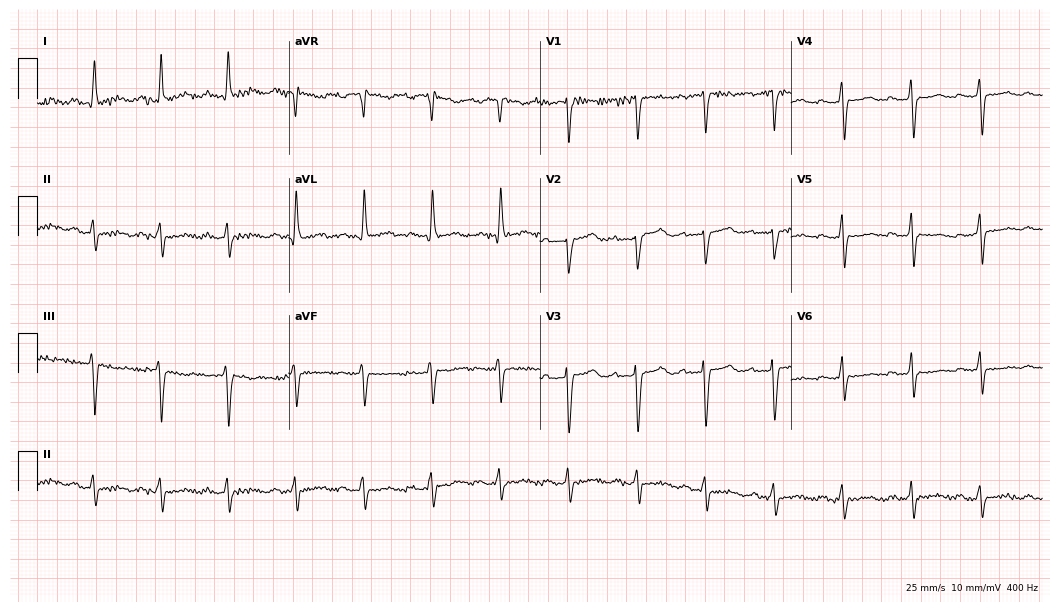
Resting 12-lead electrocardiogram (10.2-second recording at 400 Hz). Patient: a woman, 59 years old. None of these six findings is recorded: first-degree AV block, right bundle branch block, left bundle branch block, sinus bradycardia, atrial fibrillation, sinus tachycardia.